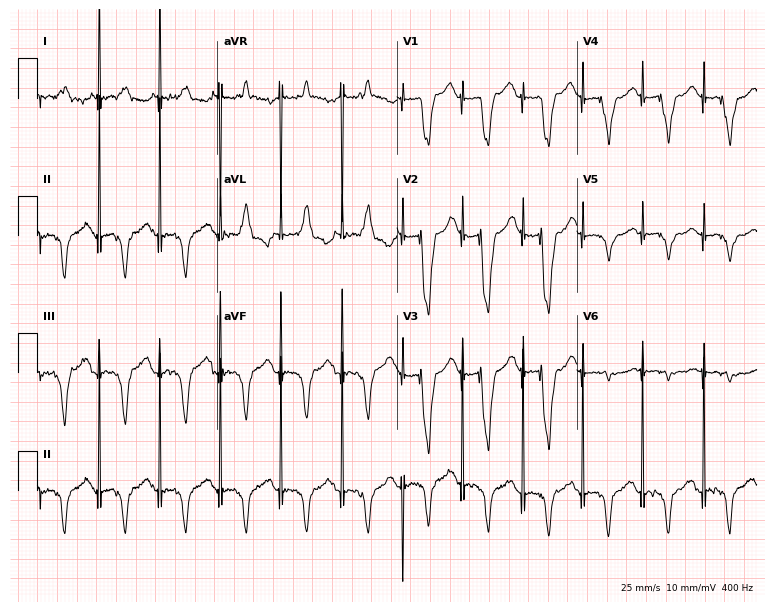
12-lead ECG from a 76-year-old man. Screened for six findings — first-degree AV block, right bundle branch block (RBBB), left bundle branch block (LBBB), sinus bradycardia, atrial fibrillation (AF), sinus tachycardia — none is recorded. Findings outside these six are not listed.